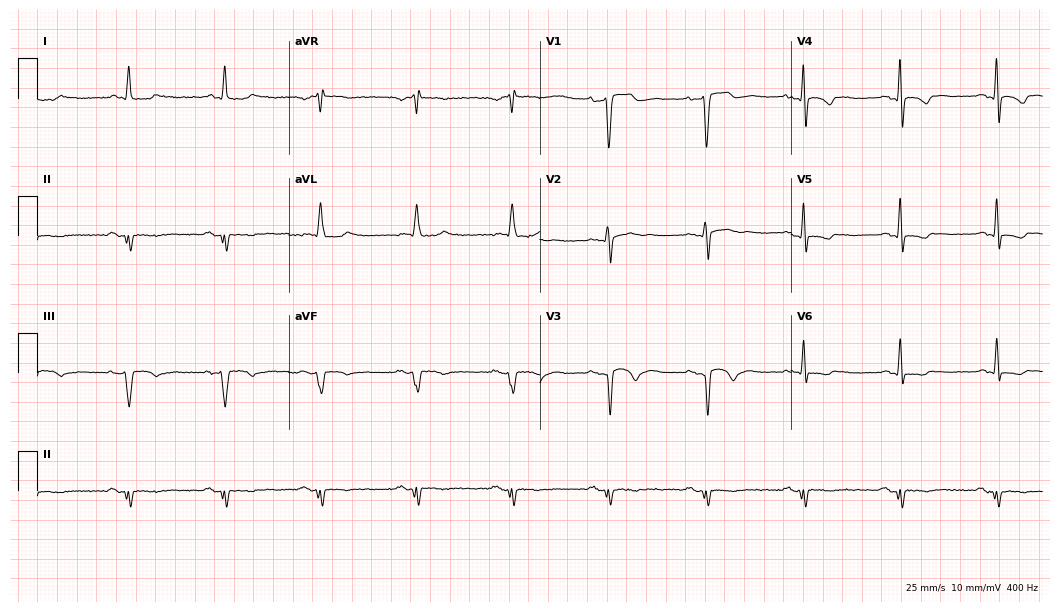
12-lead ECG from a male, 72 years old. Screened for six findings — first-degree AV block, right bundle branch block, left bundle branch block, sinus bradycardia, atrial fibrillation, sinus tachycardia — none is recorded.